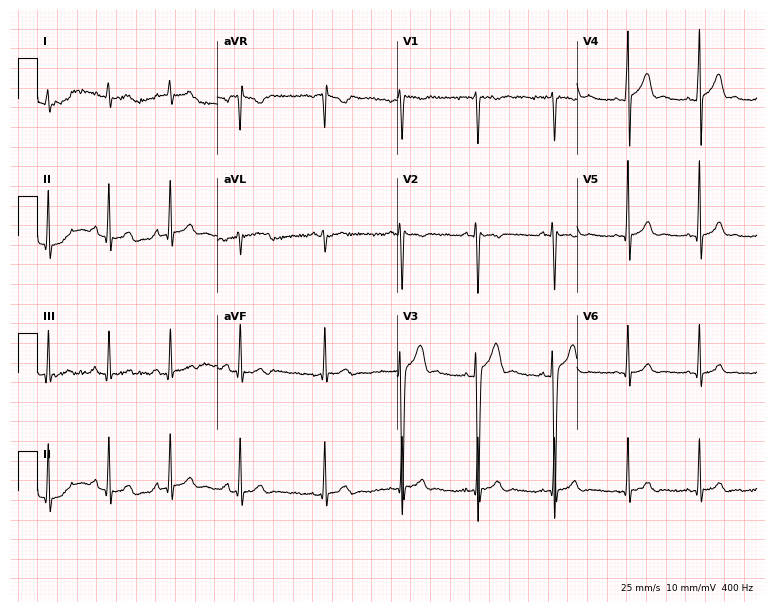
12-lead ECG from a female patient, 25 years old. Recorded interpretation: within normal limits.